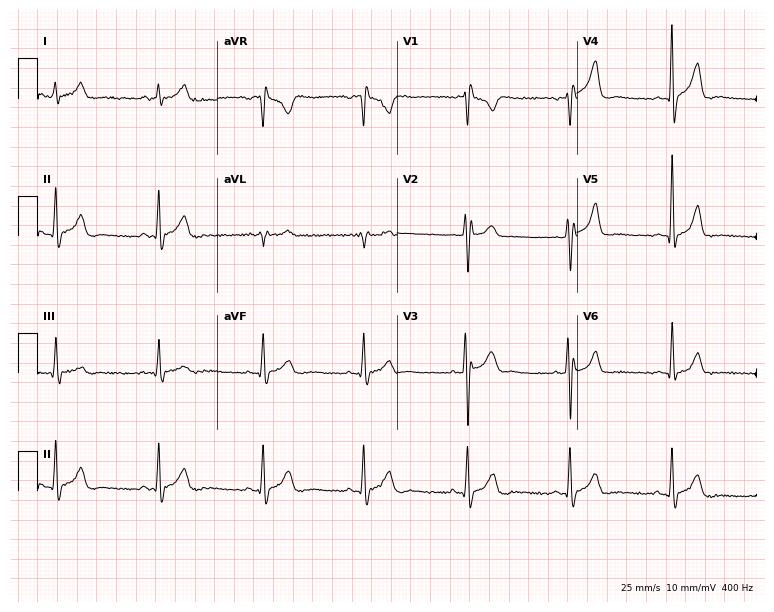
Standard 12-lead ECG recorded from a 28-year-old man (7.3-second recording at 400 Hz). The tracing shows right bundle branch block.